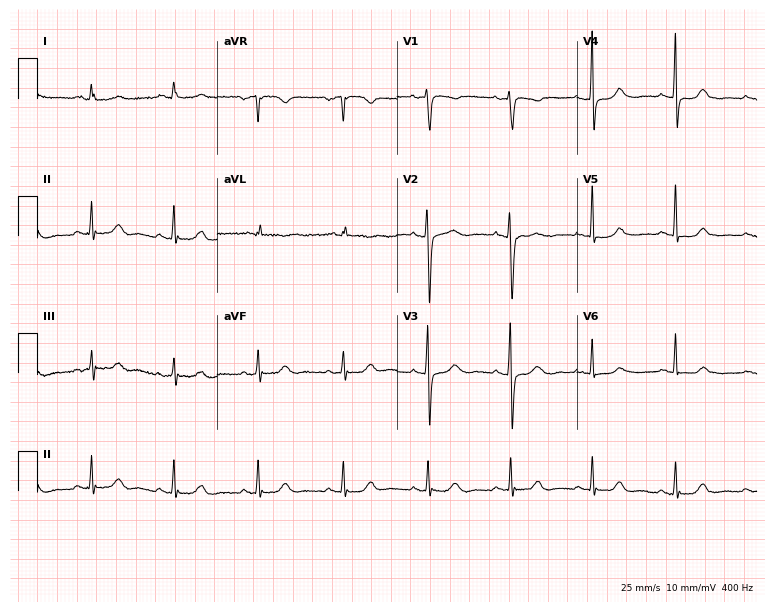
Electrocardiogram, a female, 59 years old. Overall reading on record: normal ECG.